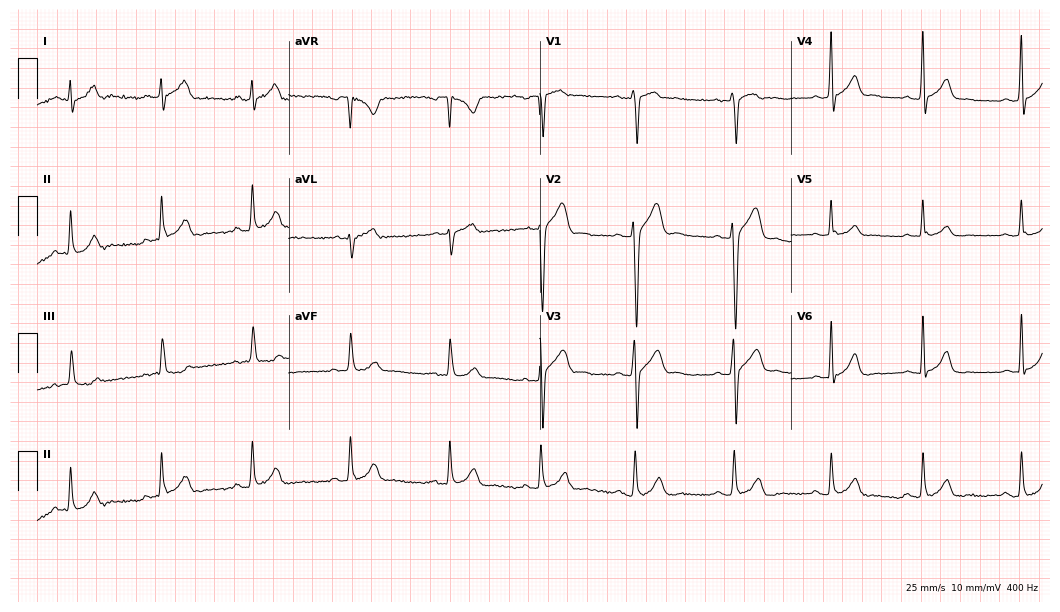
12-lead ECG from a male patient, 27 years old. No first-degree AV block, right bundle branch block, left bundle branch block, sinus bradycardia, atrial fibrillation or sinus tachycardia recorded for this tracing. Other findings, if any, are not listed.